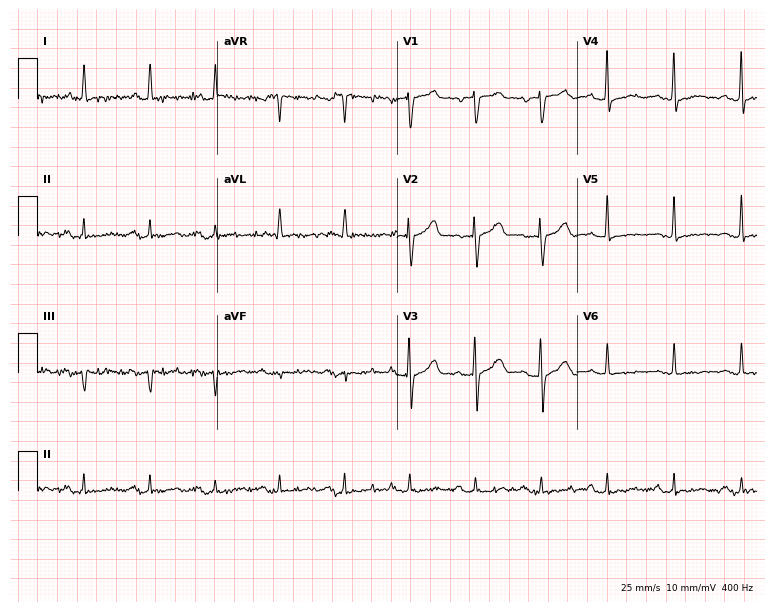
Electrocardiogram, a man, 85 years old. Of the six screened findings (first-degree AV block, right bundle branch block (RBBB), left bundle branch block (LBBB), sinus bradycardia, atrial fibrillation (AF), sinus tachycardia), none is recorded.